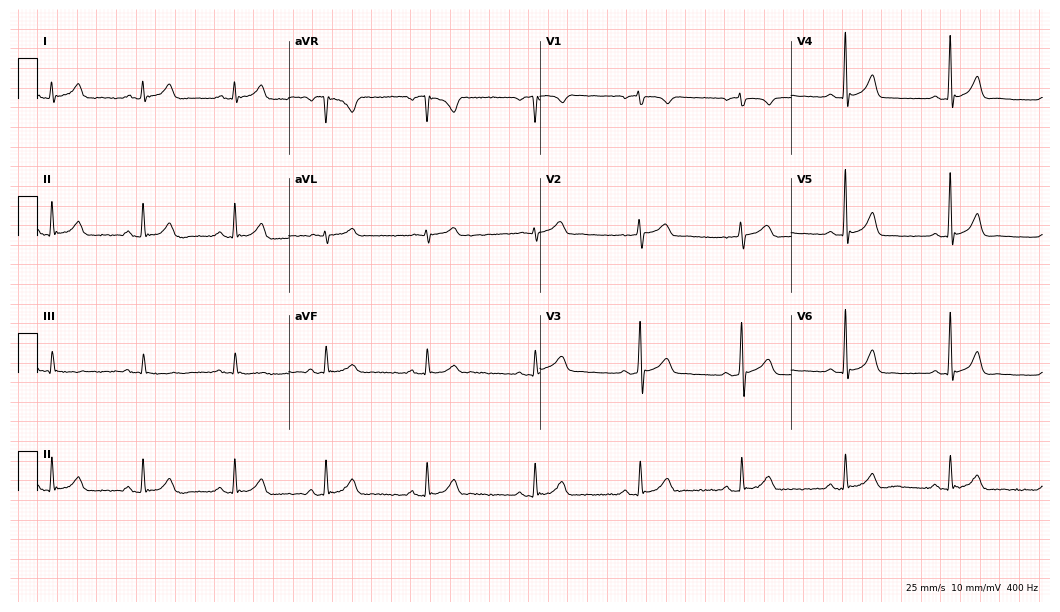
Resting 12-lead electrocardiogram (10.2-second recording at 400 Hz). Patient: a 59-year-old male. Read as a normal ECG.